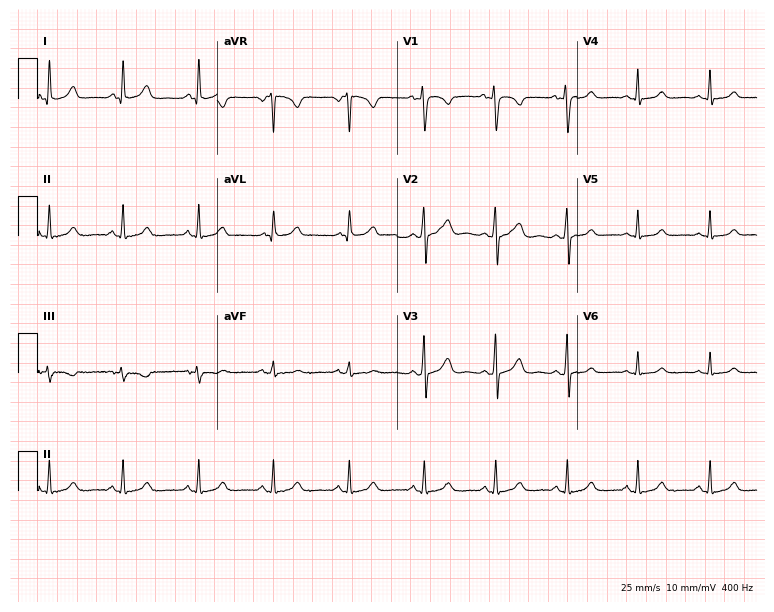
Resting 12-lead electrocardiogram. Patient: a woman, 29 years old. Read as a normal ECG.